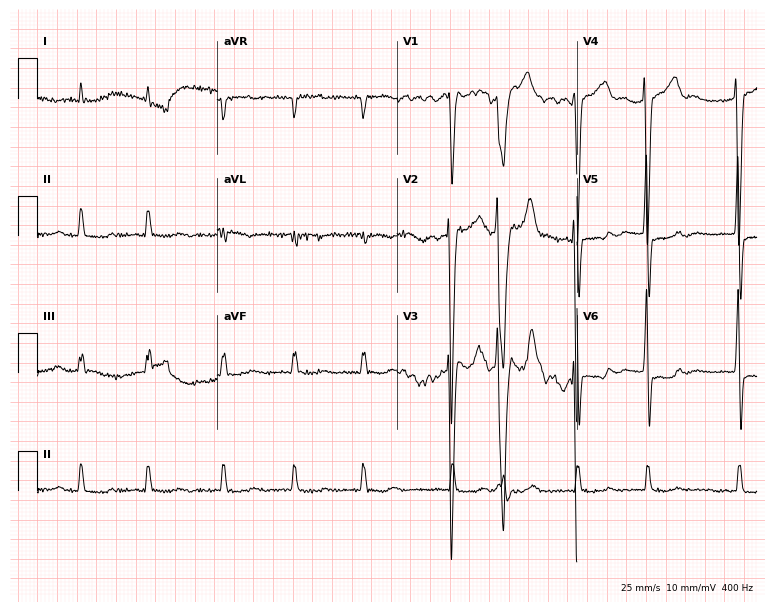
Standard 12-lead ECG recorded from a man, 84 years old. The tracing shows atrial fibrillation.